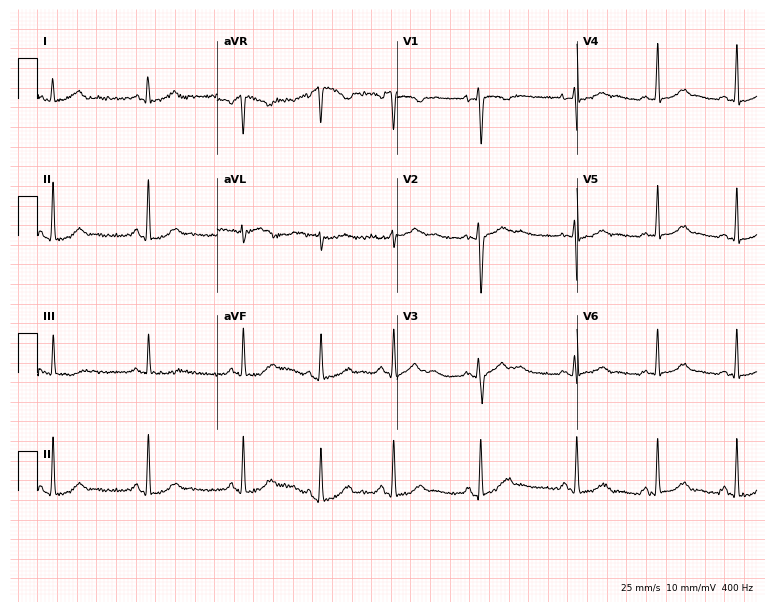
Electrocardiogram (7.3-second recording at 400 Hz), a female patient, 17 years old. Overall reading on record: normal ECG.